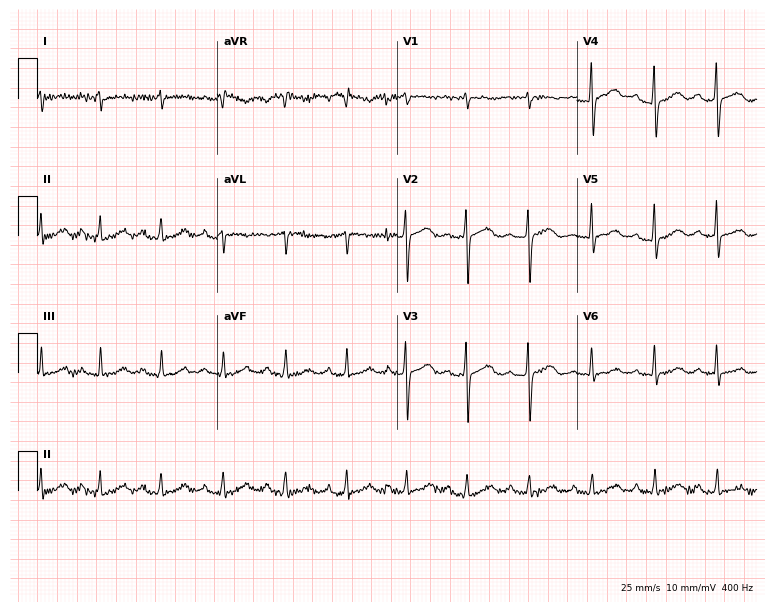
ECG (7.3-second recording at 400 Hz) — a 51-year-old female. Screened for six findings — first-degree AV block, right bundle branch block (RBBB), left bundle branch block (LBBB), sinus bradycardia, atrial fibrillation (AF), sinus tachycardia — none is recorded. Findings outside these six are not listed.